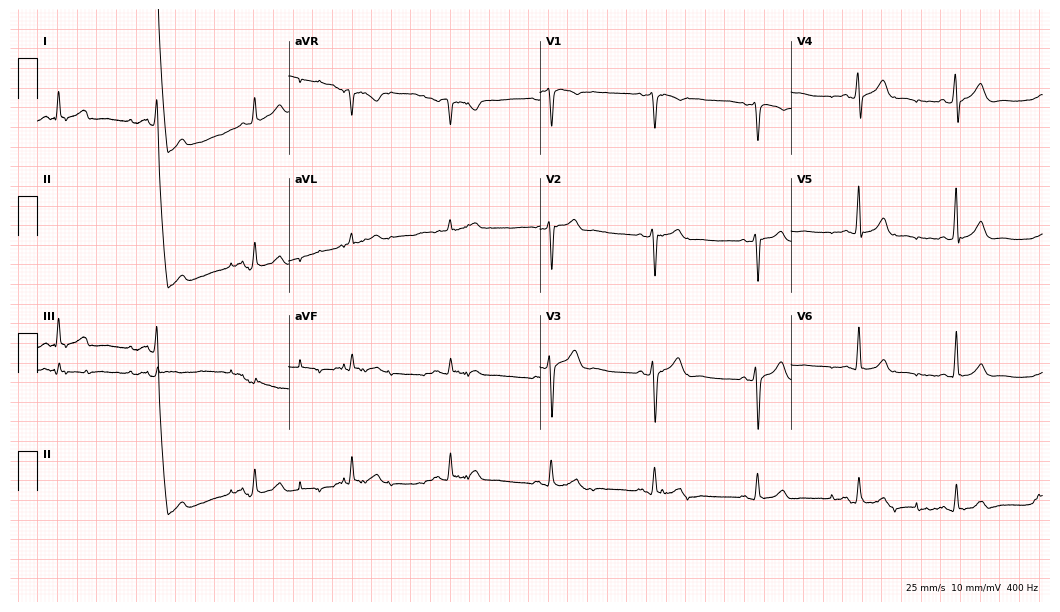
12-lead ECG from a male, 59 years old (10.2-second recording at 400 Hz). Recorded interpretation: within normal limits.